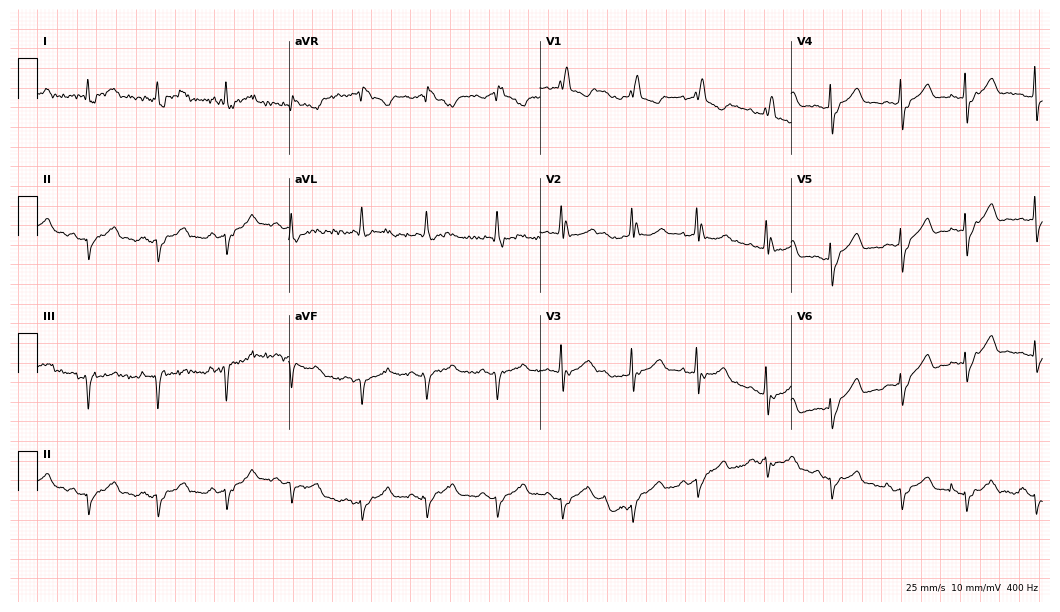
12-lead ECG (10.2-second recording at 400 Hz) from a 75-year-old male patient. Findings include right bundle branch block.